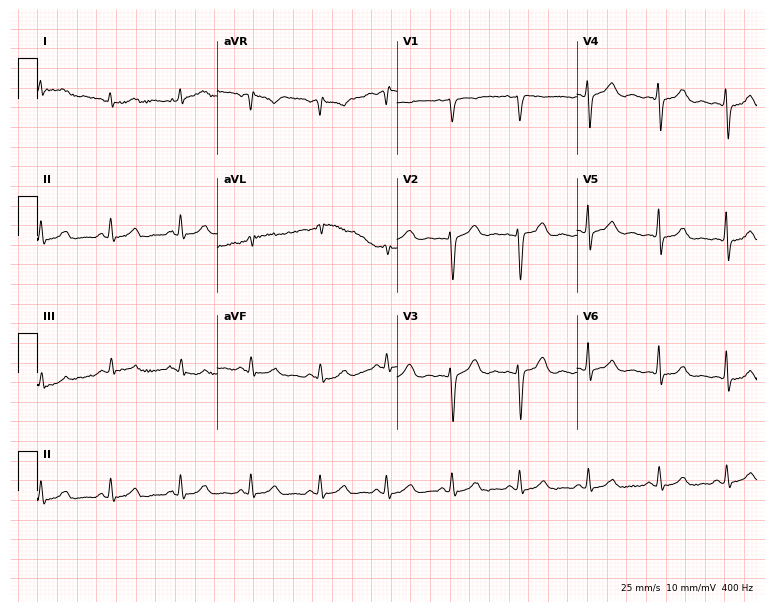
Resting 12-lead electrocardiogram. Patient: a female, 36 years old. None of these six findings is recorded: first-degree AV block, right bundle branch block, left bundle branch block, sinus bradycardia, atrial fibrillation, sinus tachycardia.